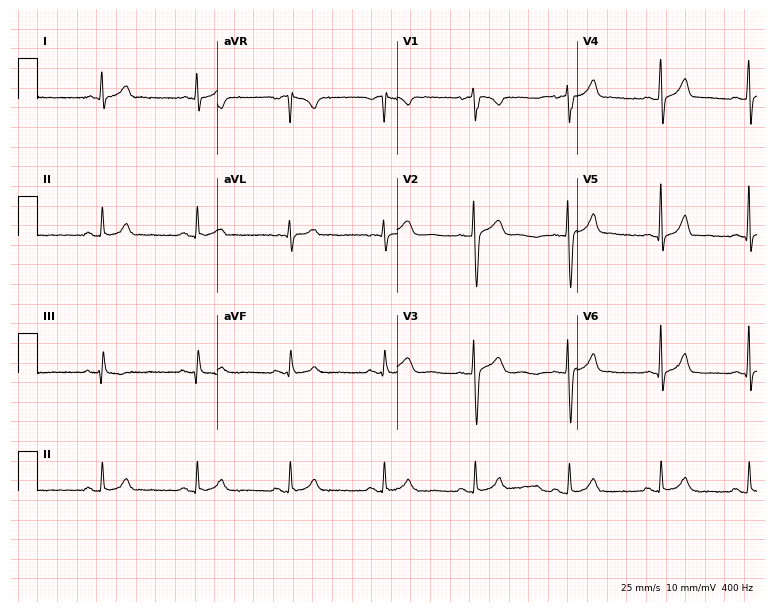
Resting 12-lead electrocardiogram. Patient: a woman, 37 years old. Read as a normal ECG.